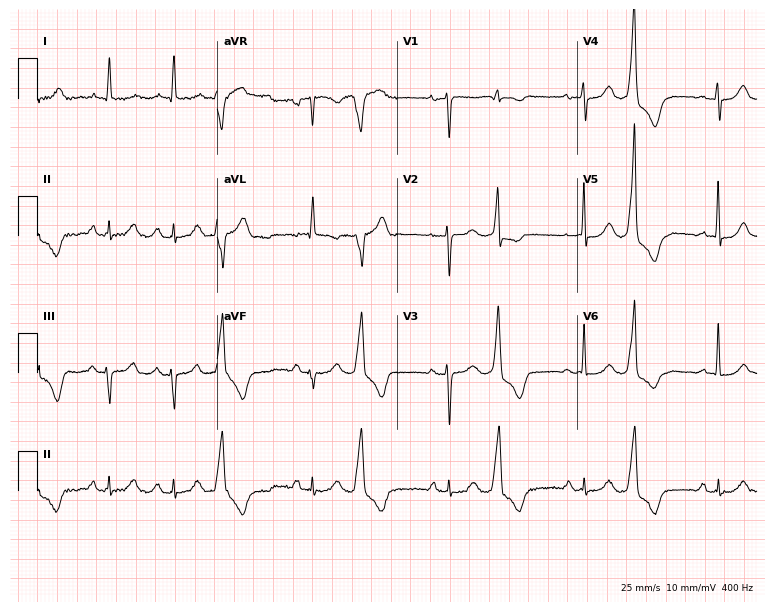
12-lead ECG from a 66-year-old female. No first-degree AV block, right bundle branch block (RBBB), left bundle branch block (LBBB), sinus bradycardia, atrial fibrillation (AF) or sinus tachycardia recorded for this tracing.